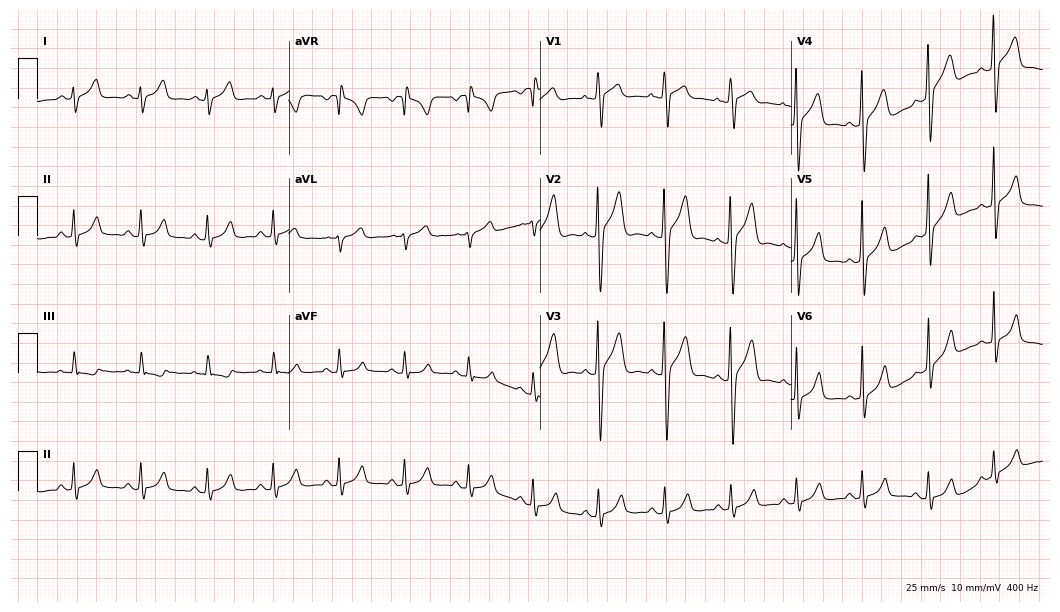
Resting 12-lead electrocardiogram. Patient: a 19-year-old male. None of these six findings is recorded: first-degree AV block, right bundle branch block (RBBB), left bundle branch block (LBBB), sinus bradycardia, atrial fibrillation (AF), sinus tachycardia. Other findings, if any, are not listed.